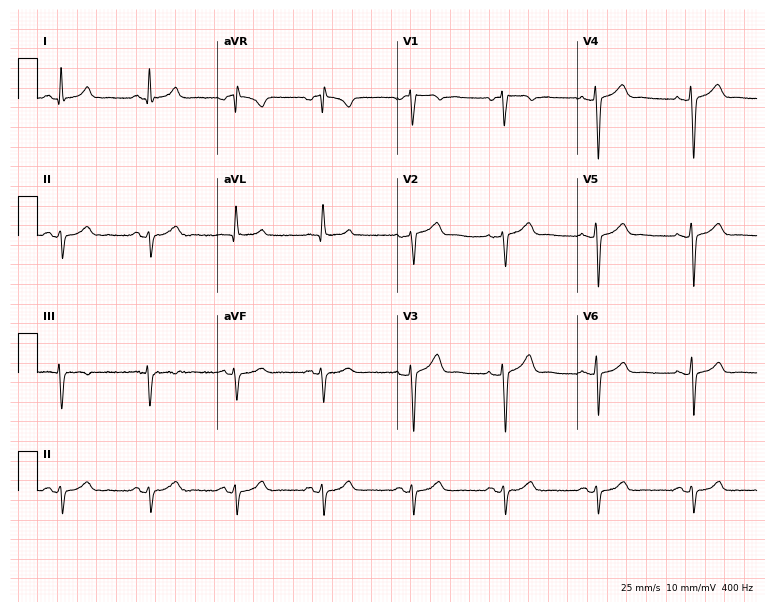
ECG (7.3-second recording at 400 Hz) — a 52-year-old woman. Screened for six findings — first-degree AV block, right bundle branch block (RBBB), left bundle branch block (LBBB), sinus bradycardia, atrial fibrillation (AF), sinus tachycardia — none is recorded.